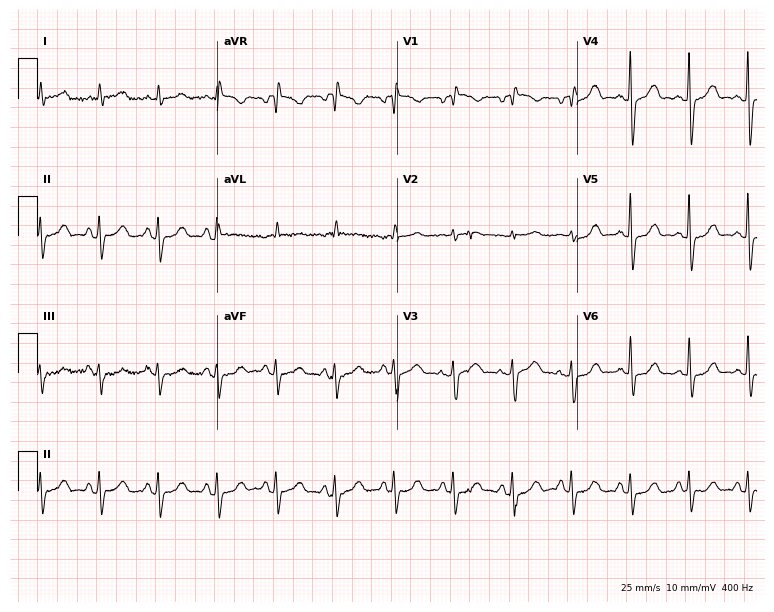
Resting 12-lead electrocardiogram (7.3-second recording at 400 Hz). Patient: a woman, 62 years old. None of these six findings is recorded: first-degree AV block, right bundle branch block (RBBB), left bundle branch block (LBBB), sinus bradycardia, atrial fibrillation (AF), sinus tachycardia.